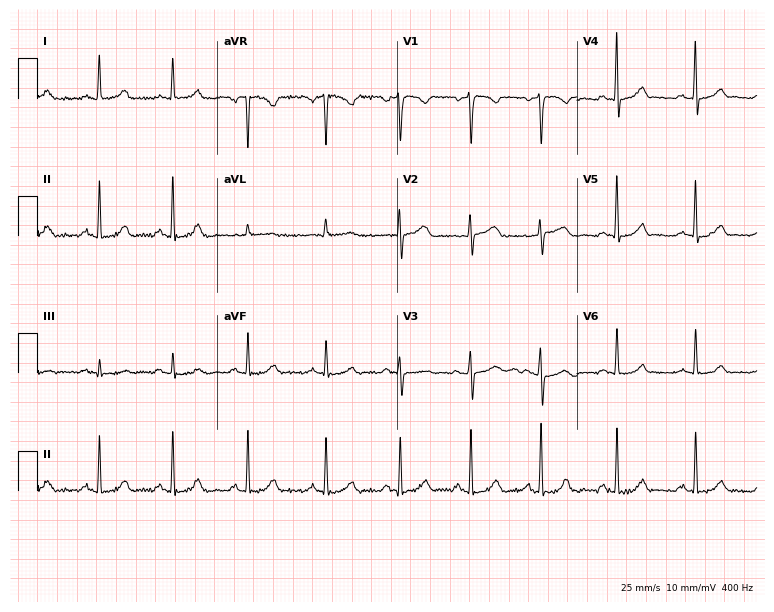
Resting 12-lead electrocardiogram (7.3-second recording at 400 Hz). Patient: a female, 39 years old. Read as a normal ECG.